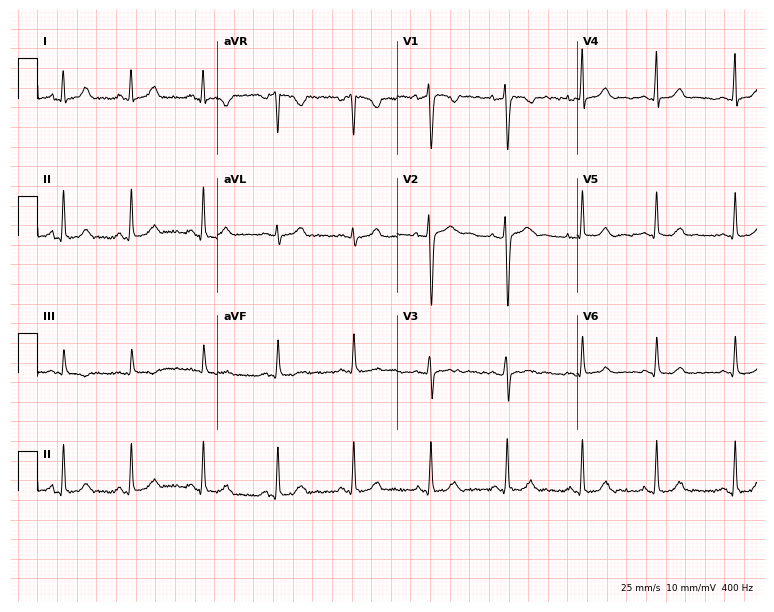
12-lead ECG from a female patient, 22 years old. No first-degree AV block, right bundle branch block, left bundle branch block, sinus bradycardia, atrial fibrillation or sinus tachycardia recorded for this tracing. Only these six findings were labelled.